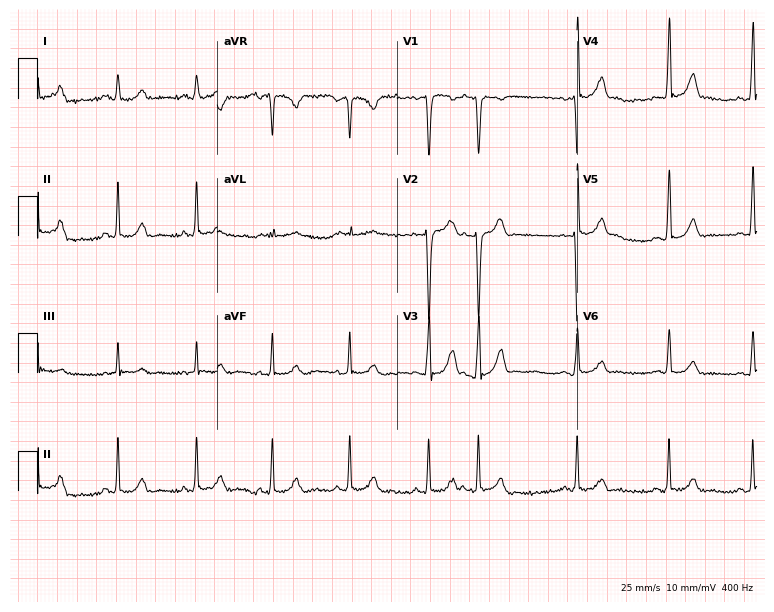
ECG (7.3-second recording at 400 Hz) — a male patient, 22 years old. Labelled as a normal ECG.